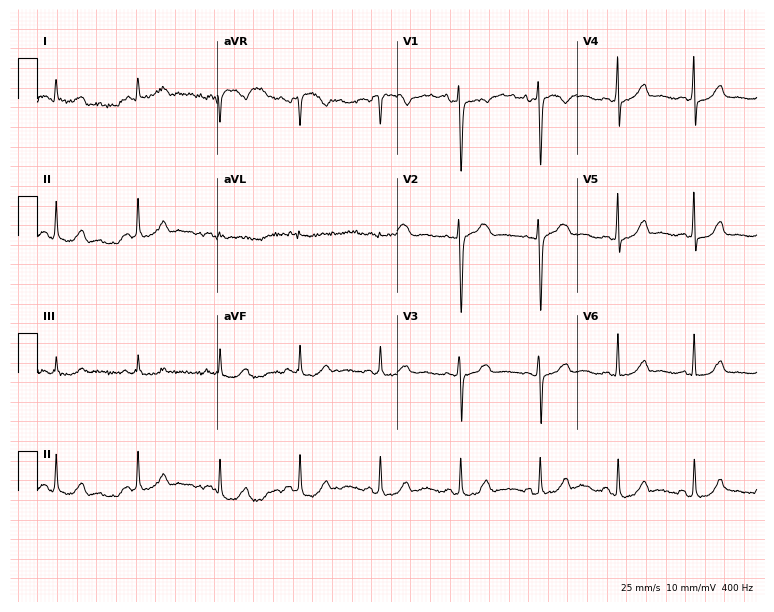
Electrocardiogram, a 48-year-old female. Overall reading on record: normal ECG.